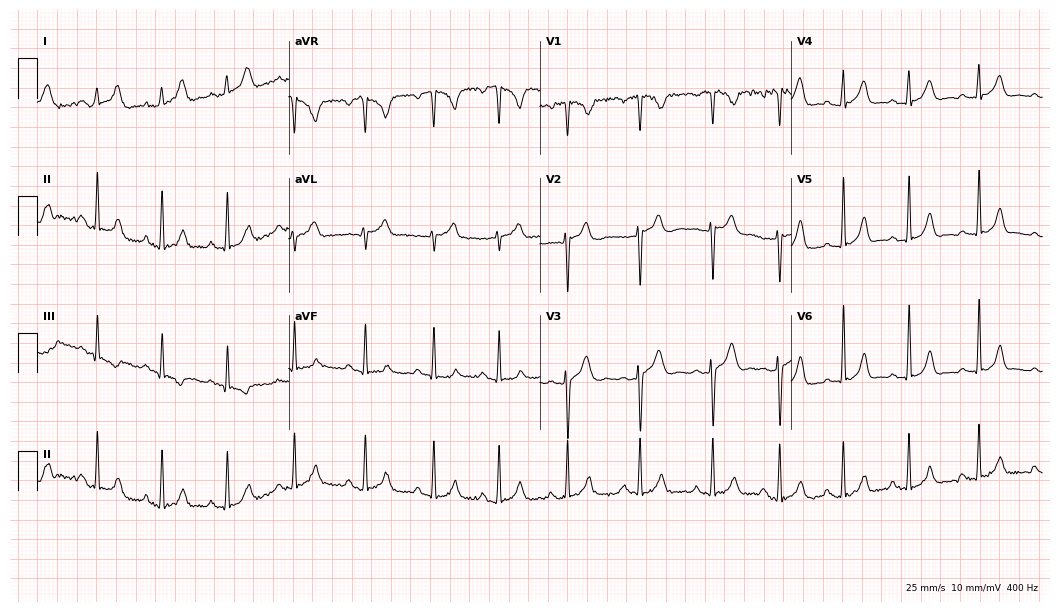
12-lead ECG (10.2-second recording at 400 Hz) from a 19-year-old female. Labelled as a normal ECG.